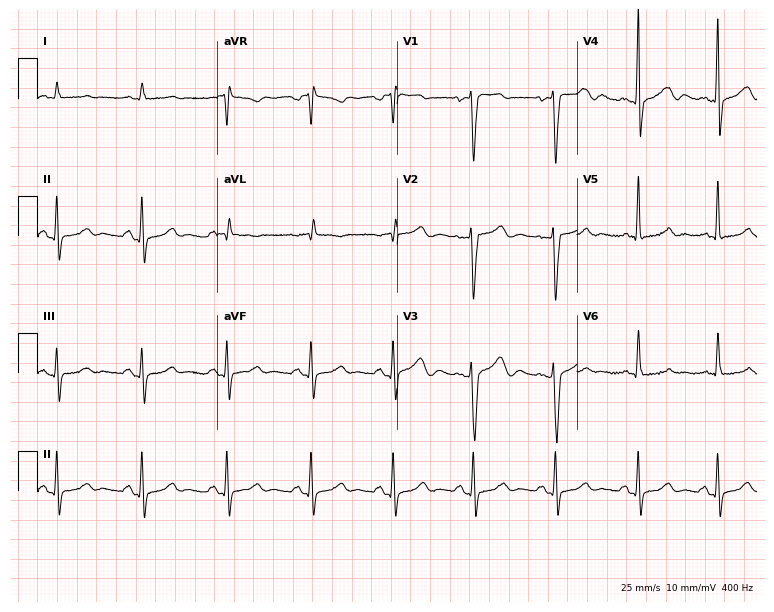
Resting 12-lead electrocardiogram (7.3-second recording at 400 Hz). Patient: a male, 47 years old. None of these six findings is recorded: first-degree AV block, right bundle branch block (RBBB), left bundle branch block (LBBB), sinus bradycardia, atrial fibrillation (AF), sinus tachycardia.